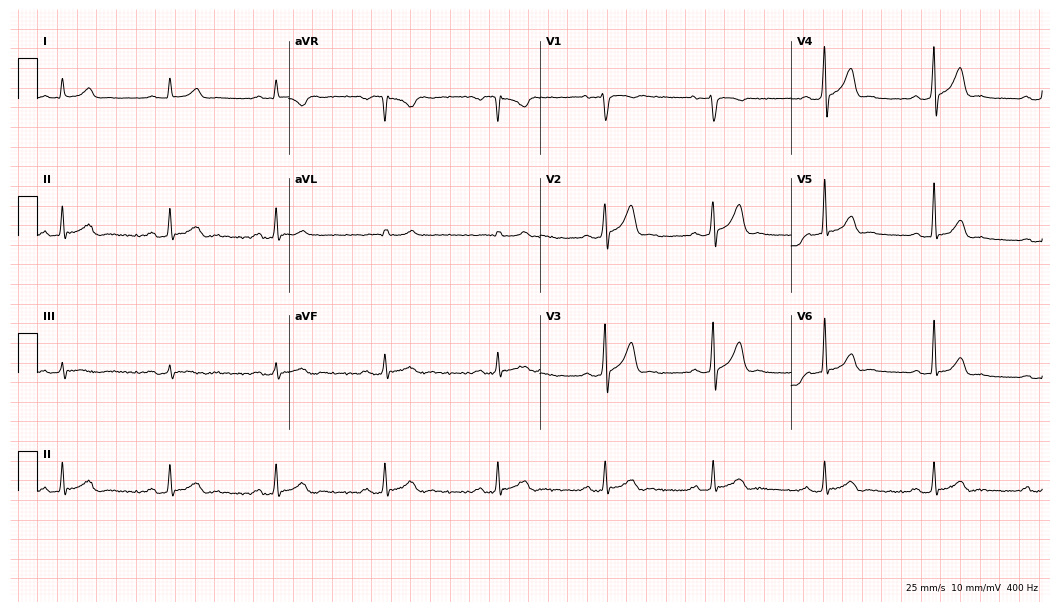
Standard 12-lead ECG recorded from a male patient, 43 years old. Read as a normal ECG.